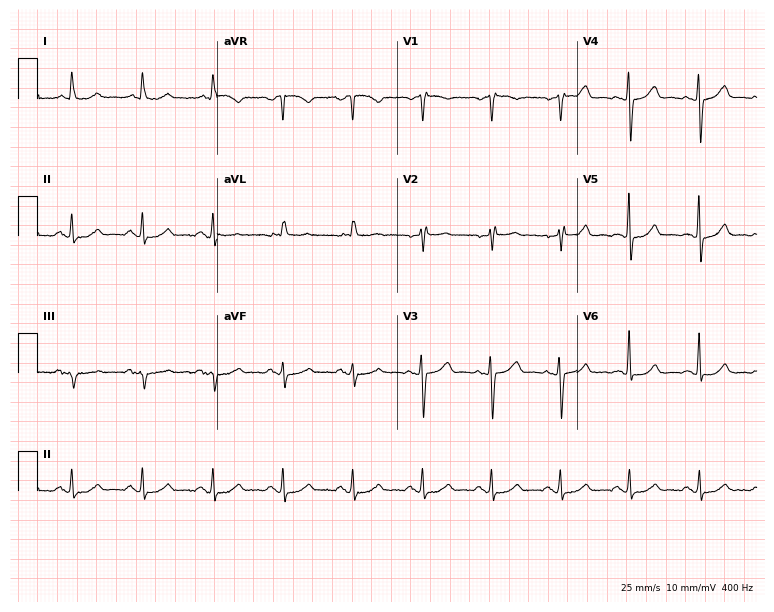
12-lead ECG from a 71-year-old man. Recorded interpretation: within normal limits.